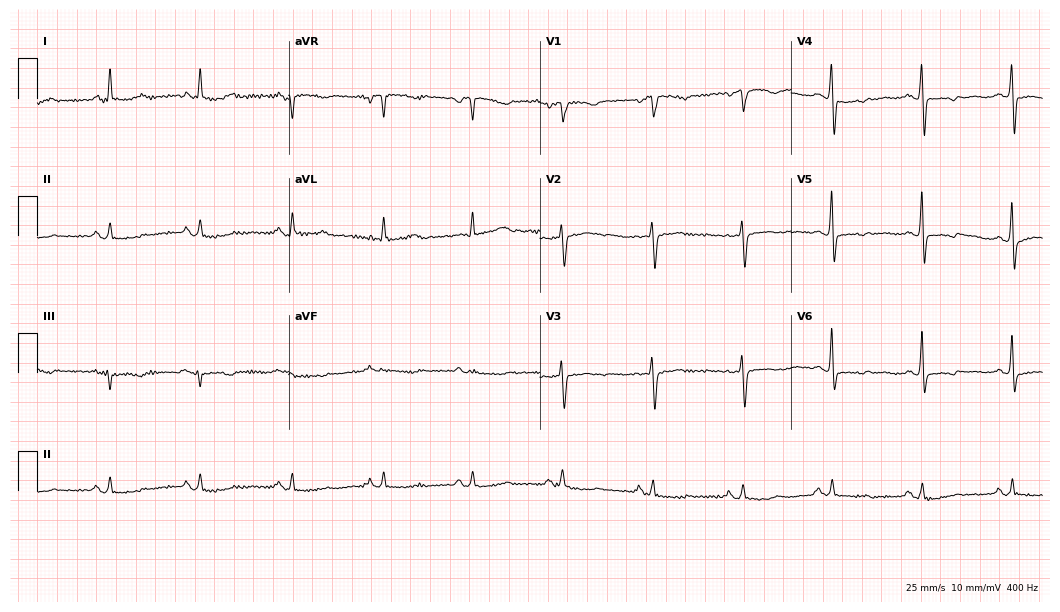
12-lead ECG from a 62-year-old female. Screened for six findings — first-degree AV block, right bundle branch block, left bundle branch block, sinus bradycardia, atrial fibrillation, sinus tachycardia — none is recorded.